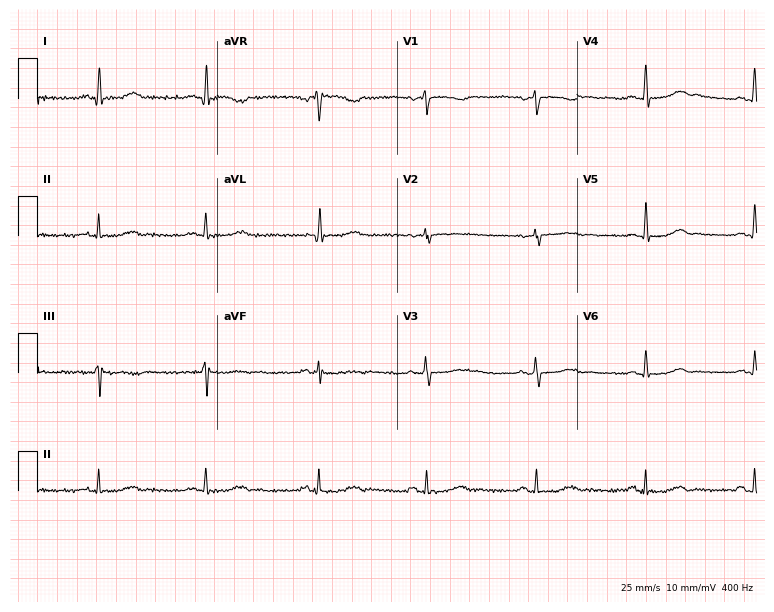
ECG — a woman, 68 years old. Screened for six findings — first-degree AV block, right bundle branch block (RBBB), left bundle branch block (LBBB), sinus bradycardia, atrial fibrillation (AF), sinus tachycardia — none is recorded.